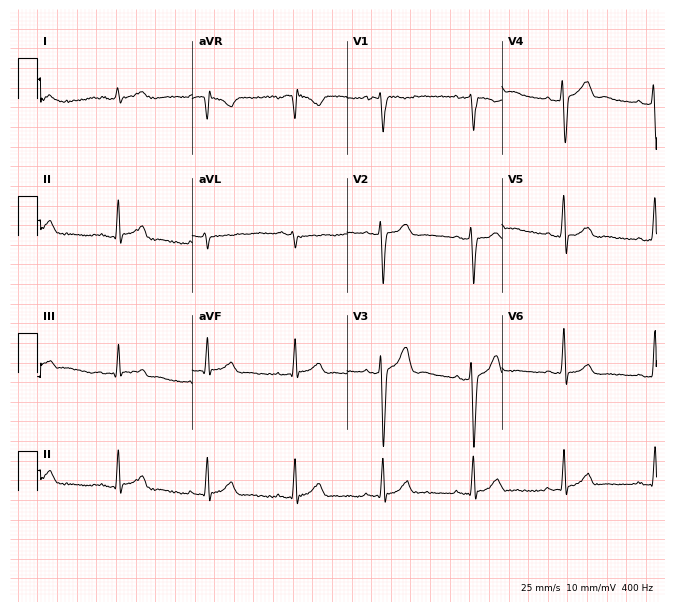
Standard 12-lead ECG recorded from a male, 21 years old. None of these six findings is recorded: first-degree AV block, right bundle branch block, left bundle branch block, sinus bradycardia, atrial fibrillation, sinus tachycardia.